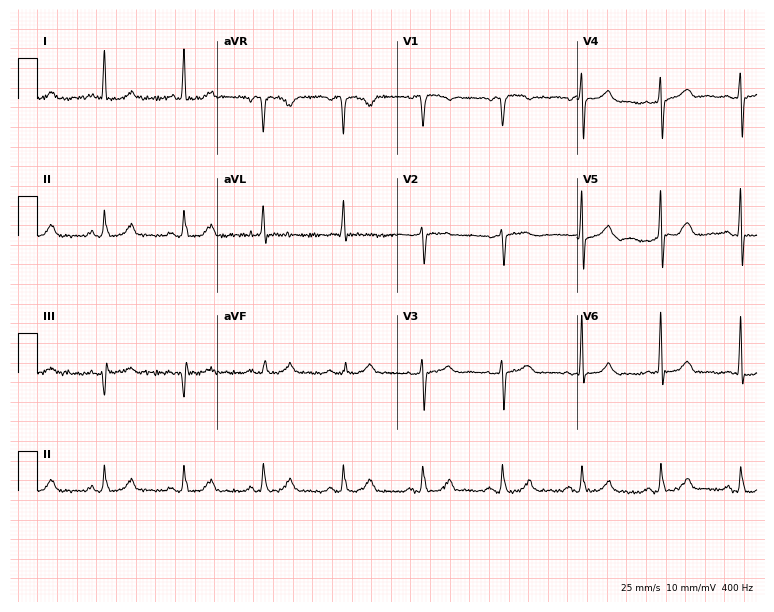
Resting 12-lead electrocardiogram (7.3-second recording at 400 Hz). Patient: a man, 69 years old. Read as a normal ECG.